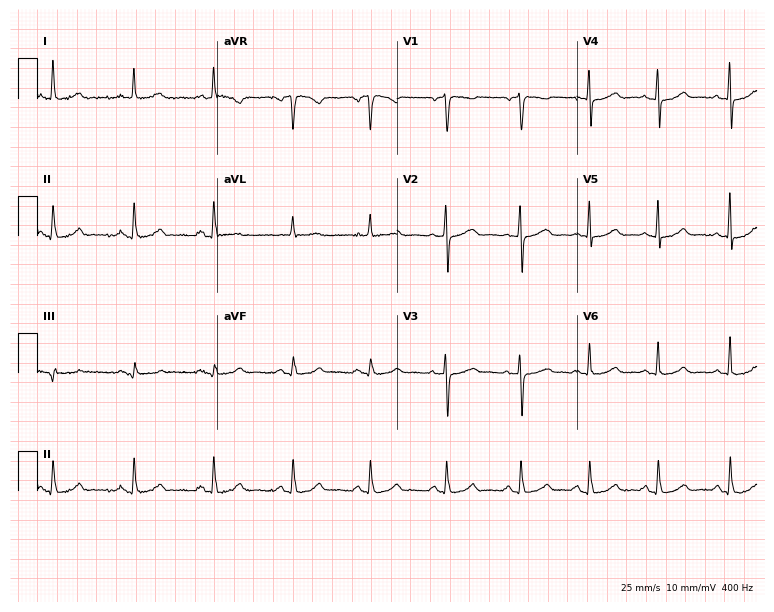
Standard 12-lead ECG recorded from a female patient, 59 years old. Read as a normal ECG.